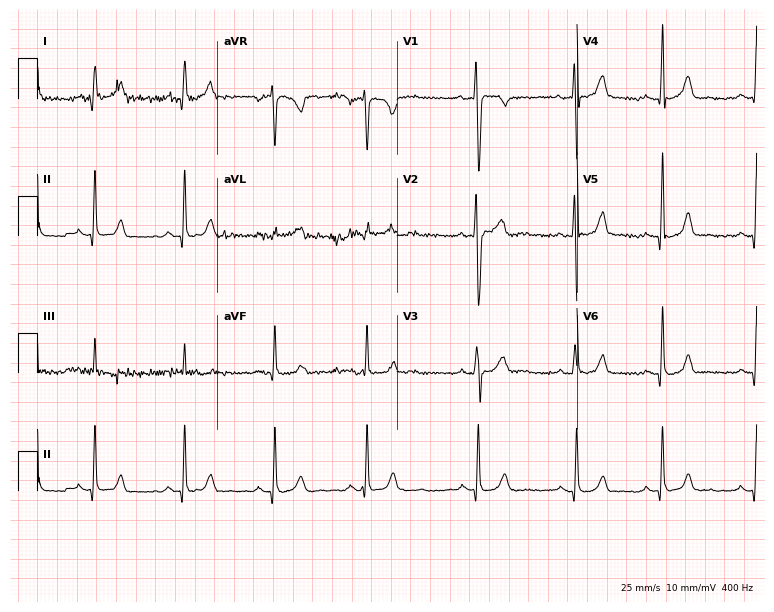
12-lead ECG (7.3-second recording at 400 Hz) from a female patient, 24 years old. Labelled as a normal ECG.